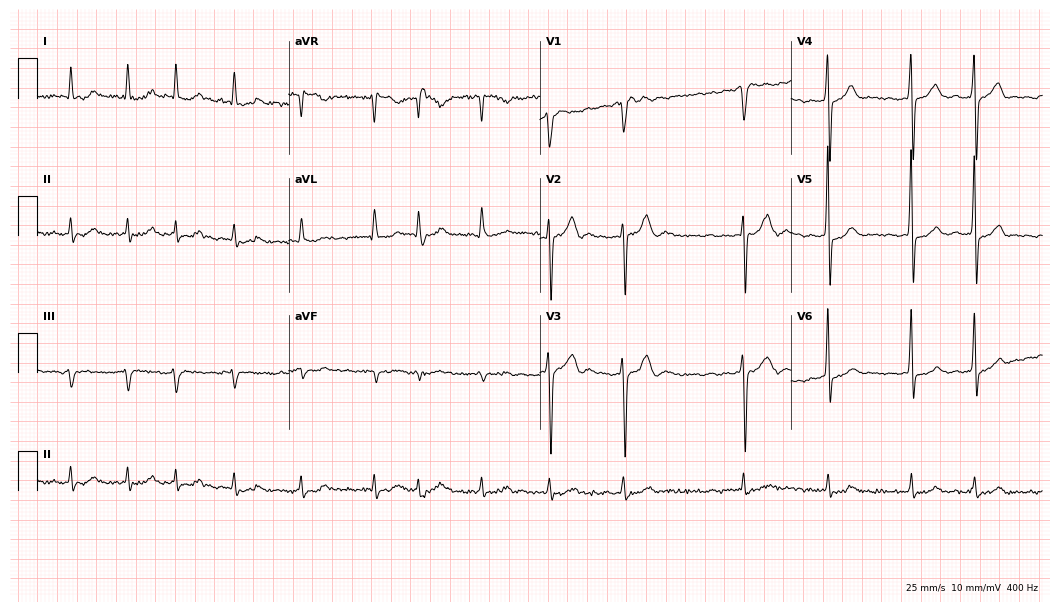
Resting 12-lead electrocardiogram (10.2-second recording at 400 Hz). Patient: a male, 78 years old. The tracing shows atrial fibrillation.